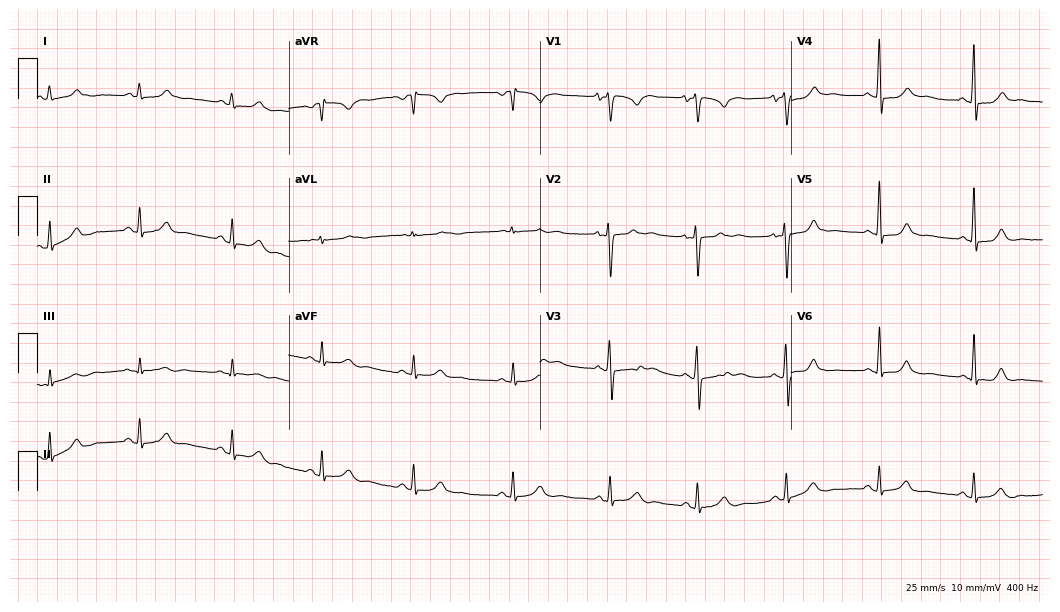
Standard 12-lead ECG recorded from a female patient, 23 years old. None of these six findings is recorded: first-degree AV block, right bundle branch block, left bundle branch block, sinus bradycardia, atrial fibrillation, sinus tachycardia.